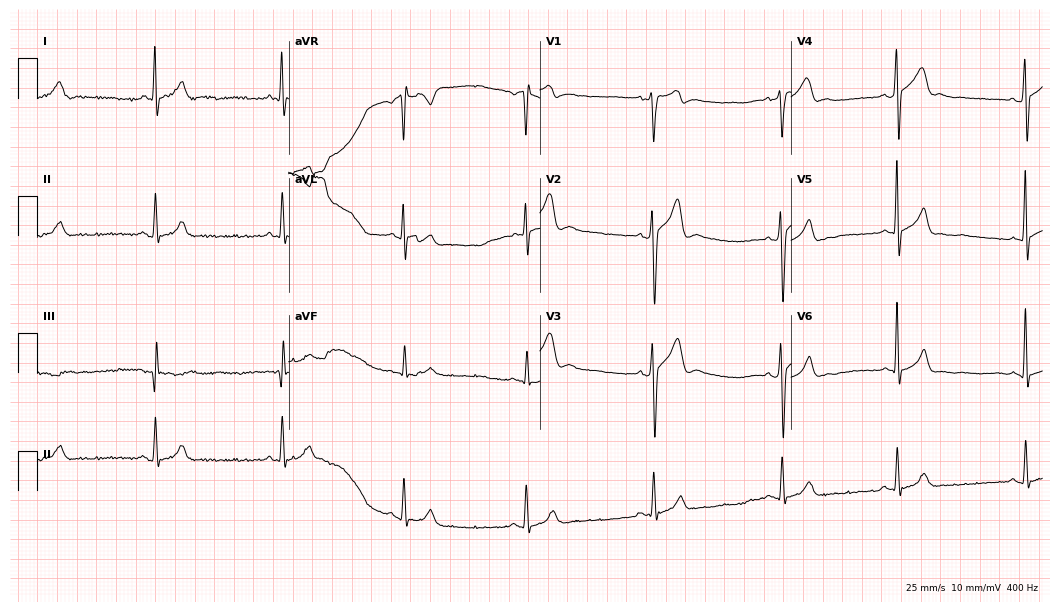
ECG — a man, 19 years old. Screened for six findings — first-degree AV block, right bundle branch block, left bundle branch block, sinus bradycardia, atrial fibrillation, sinus tachycardia — none is recorded.